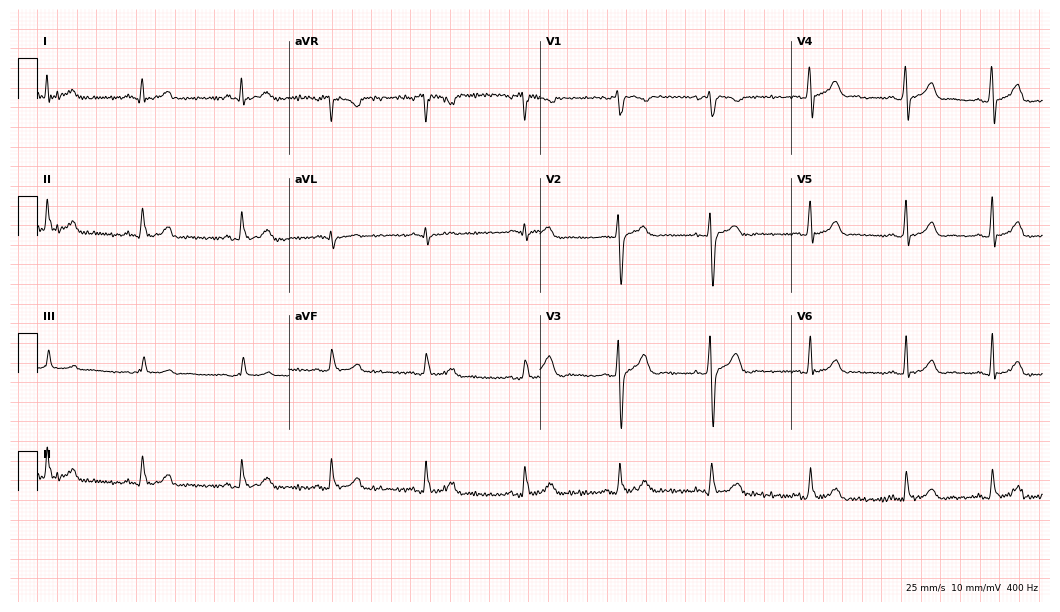
12-lead ECG from a 27-year-old man. Labelled as a normal ECG.